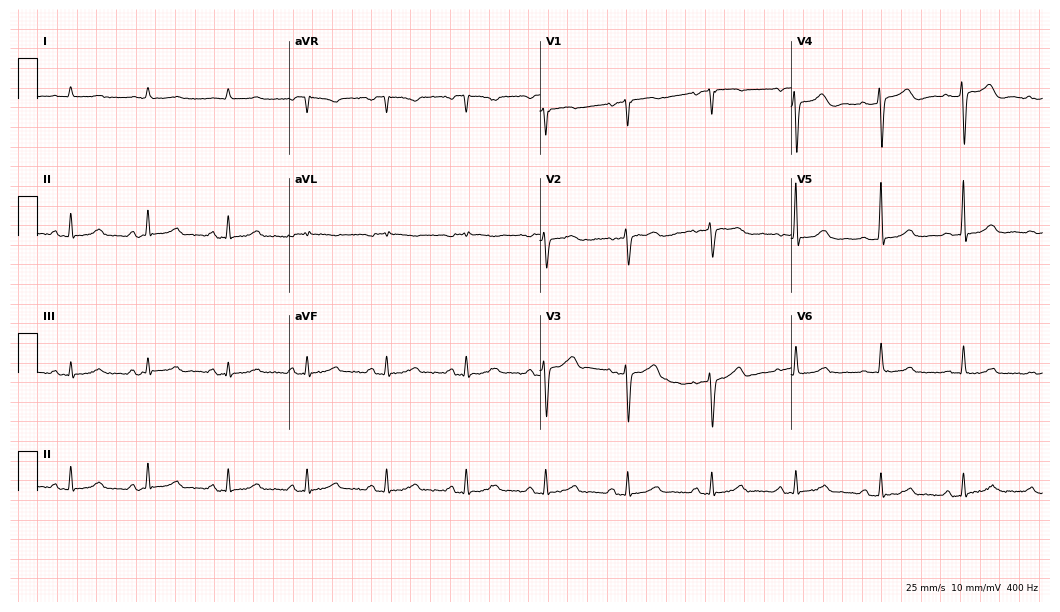
12-lead ECG from an 82-year-old female patient. No first-degree AV block, right bundle branch block, left bundle branch block, sinus bradycardia, atrial fibrillation or sinus tachycardia recorded for this tracing.